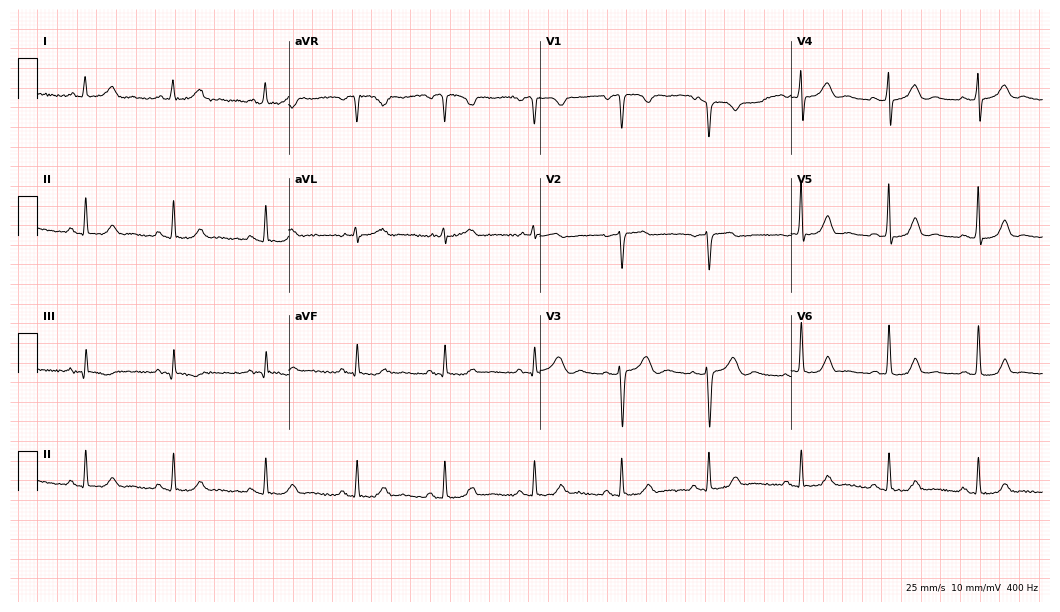
ECG — a woman, 56 years old. Labelled as a normal ECG.